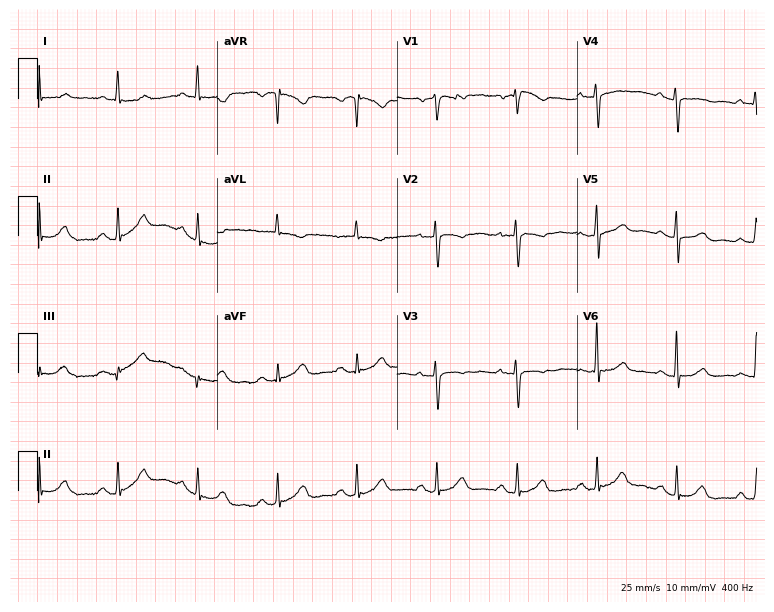
ECG (7.3-second recording at 400 Hz) — a 79-year-old woman. Screened for six findings — first-degree AV block, right bundle branch block, left bundle branch block, sinus bradycardia, atrial fibrillation, sinus tachycardia — none is recorded. Other findings, if any, are not listed.